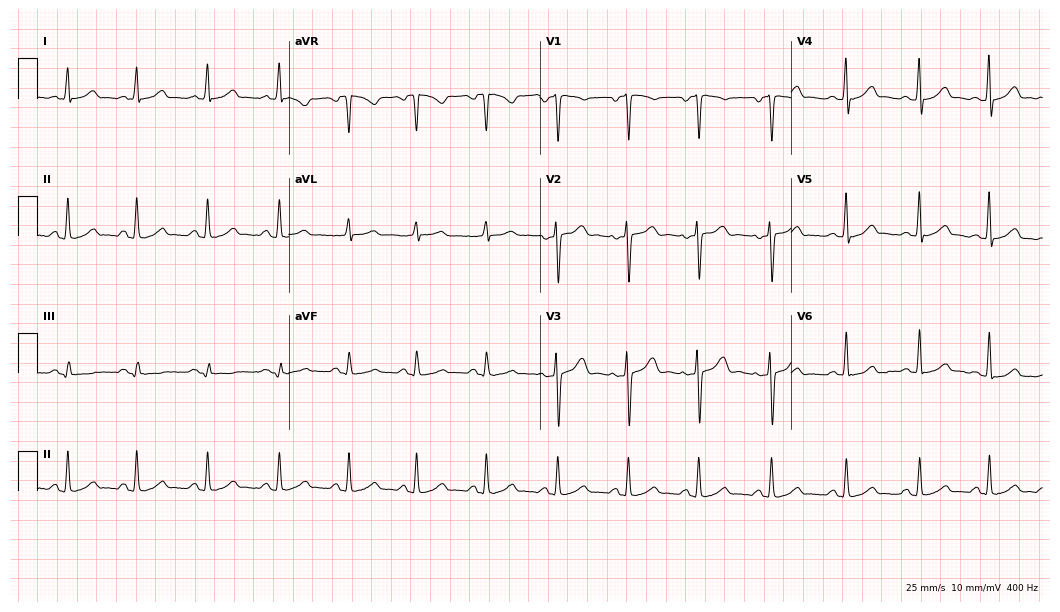
Electrocardiogram, a 41-year-old female. Overall reading on record: normal ECG.